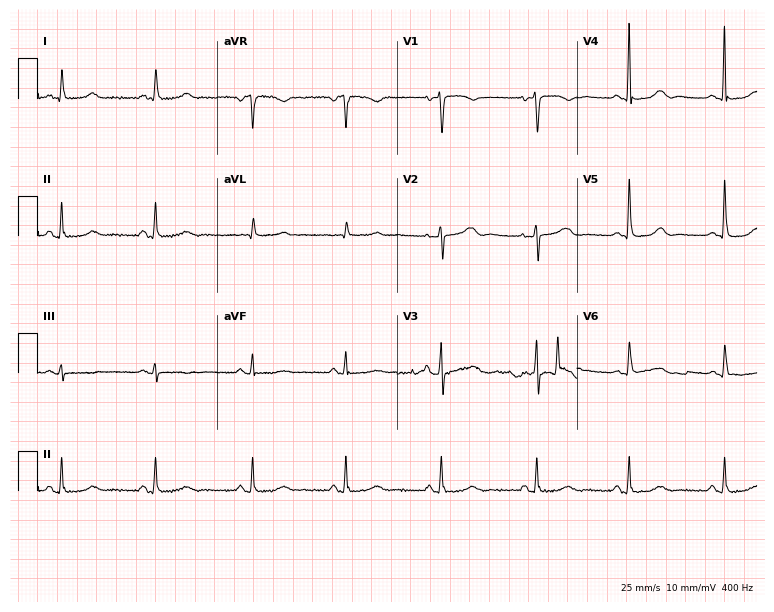
Standard 12-lead ECG recorded from a 72-year-old female. None of these six findings is recorded: first-degree AV block, right bundle branch block (RBBB), left bundle branch block (LBBB), sinus bradycardia, atrial fibrillation (AF), sinus tachycardia. Other findings, if any, are not listed.